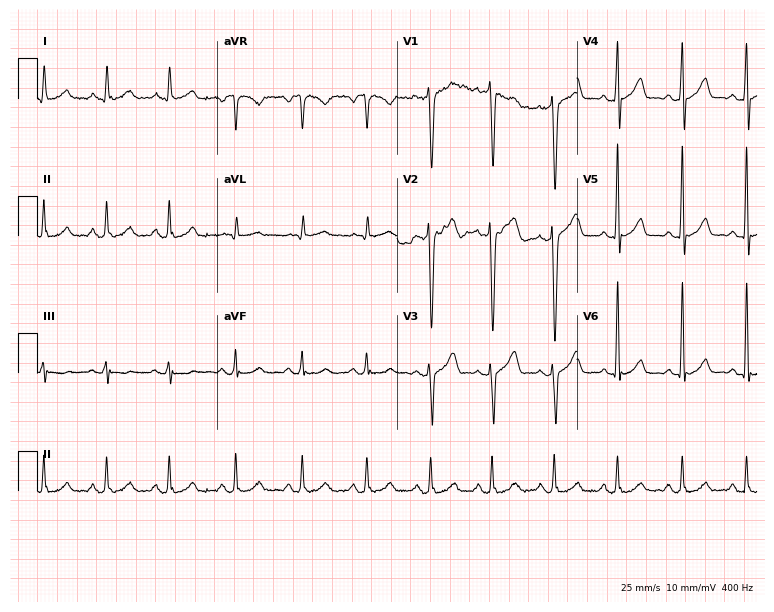
Resting 12-lead electrocardiogram. Patient: a 40-year-old man. None of these six findings is recorded: first-degree AV block, right bundle branch block, left bundle branch block, sinus bradycardia, atrial fibrillation, sinus tachycardia.